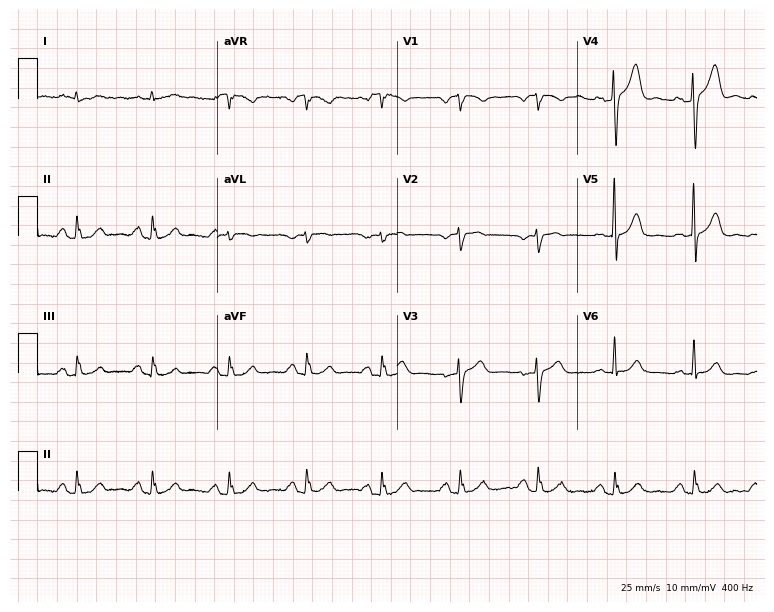
Electrocardiogram (7.3-second recording at 400 Hz), a male patient, 71 years old. Of the six screened findings (first-degree AV block, right bundle branch block, left bundle branch block, sinus bradycardia, atrial fibrillation, sinus tachycardia), none is recorded. Findings outside these six are not listed.